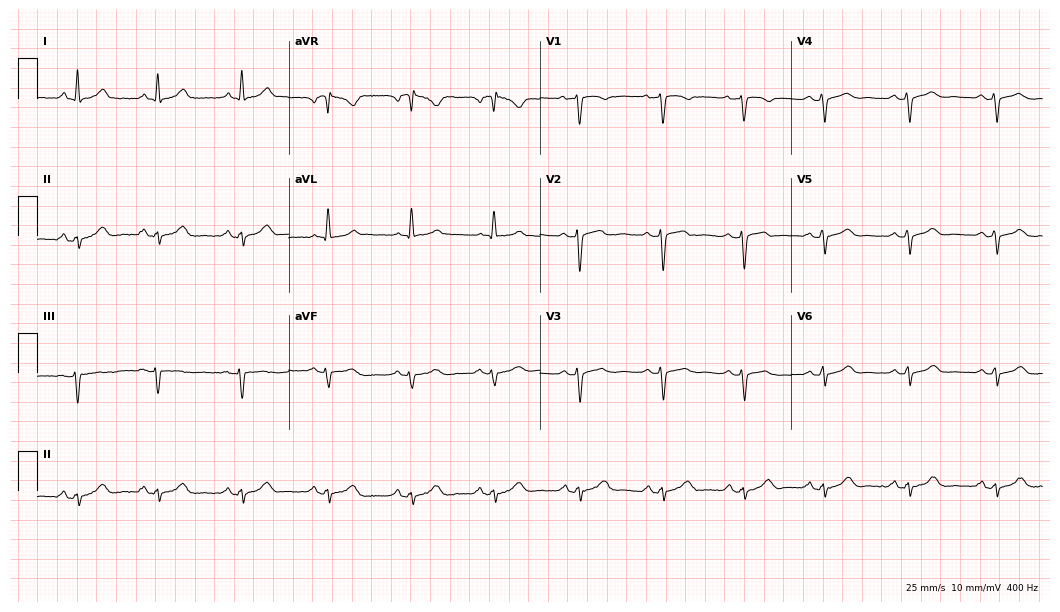
Electrocardiogram, a female, 57 years old. Of the six screened findings (first-degree AV block, right bundle branch block, left bundle branch block, sinus bradycardia, atrial fibrillation, sinus tachycardia), none is recorded.